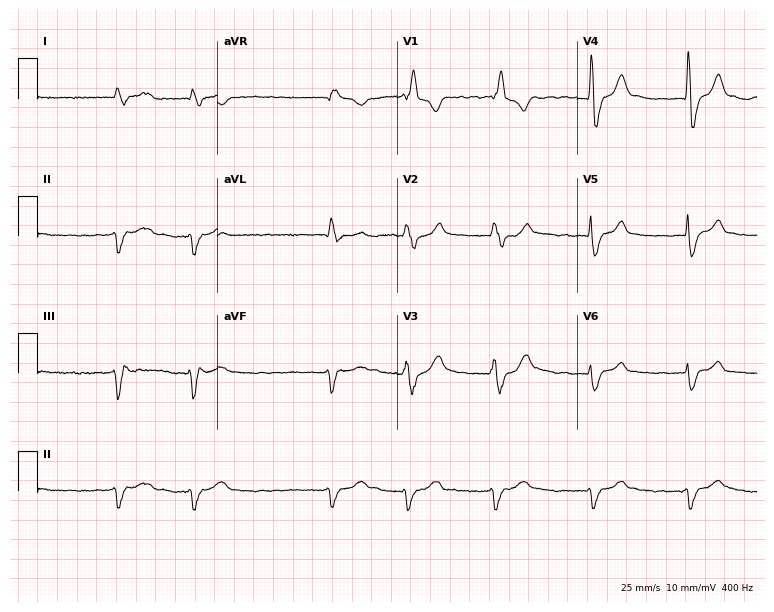
12-lead ECG from a 68-year-old man. Shows right bundle branch block, atrial fibrillation.